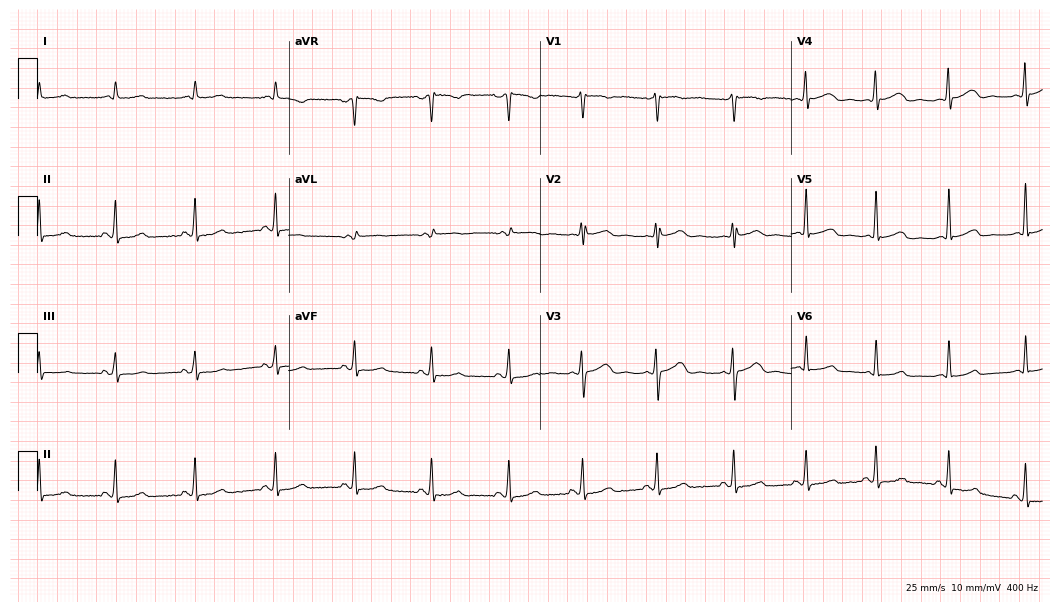
12-lead ECG from a 28-year-old woman (10.2-second recording at 400 Hz). No first-degree AV block, right bundle branch block, left bundle branch block, sinus bradycardia, atrial fibrillation or sinus tachycardia recorded for this tracing.